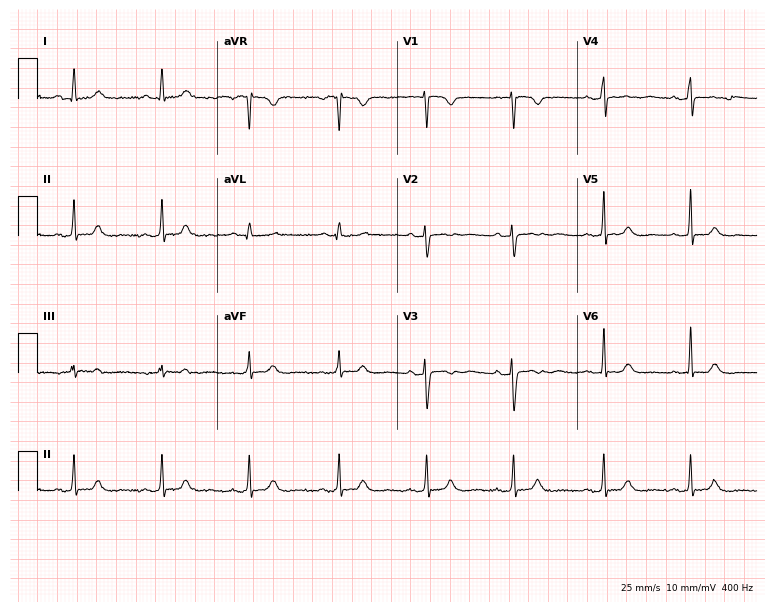
Standard 12-lead ECG recorded from a woman, 34 years old (7.3-second recording at 400 Hz). Read as a normal ECG.